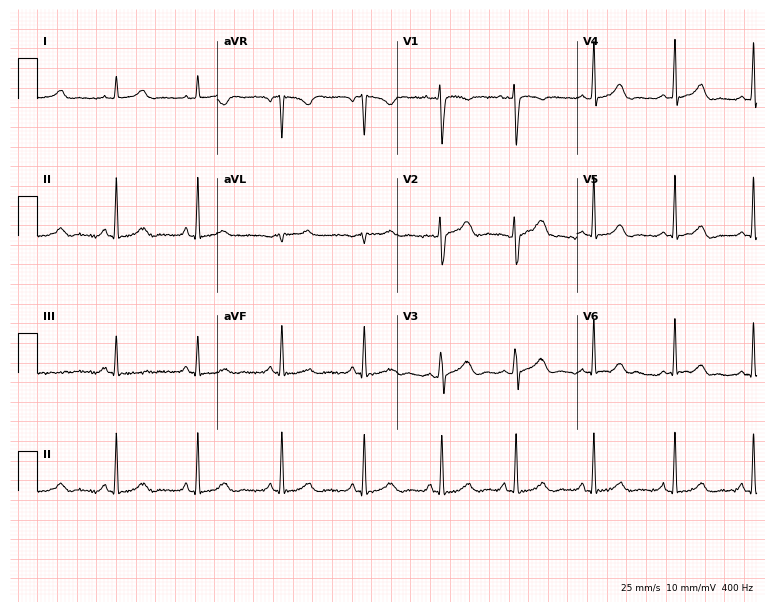
Resting 12-lead electrocardiogram (7.3-second recording at 400 Hz). Patient: a female, 37 years old. None of these six findings is recorded: first-degree AV block, right bundle branch block, left bundle branch block, sinus bradycardia, atrial fibrillation, sinus tachycardia.